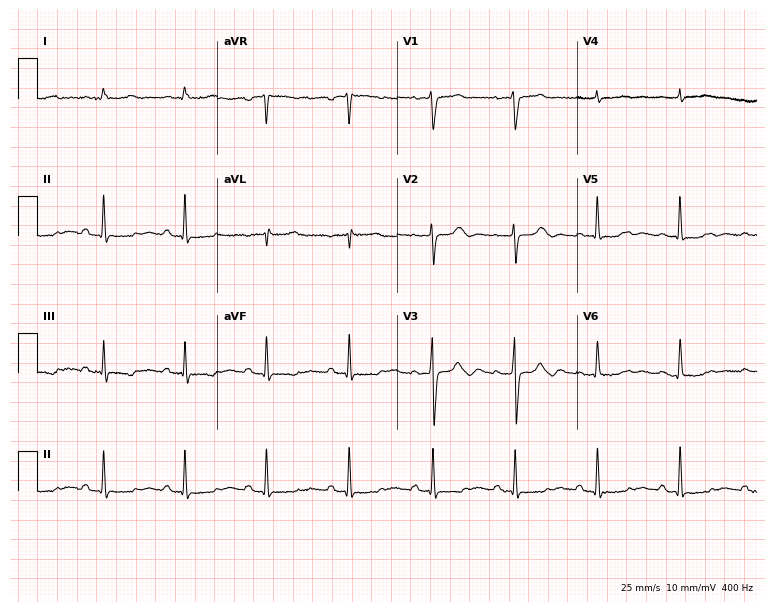
ECG (7.3-second recording at 400 Hz) — a 54-year-old female patient. Screened for six findings — first-degree AV block, right bundle branch block, left bundle branch block, sinus bradycardia, atrial fibrillation, sinus tachycardia — none is recorded. Findings outside these six are not listed.